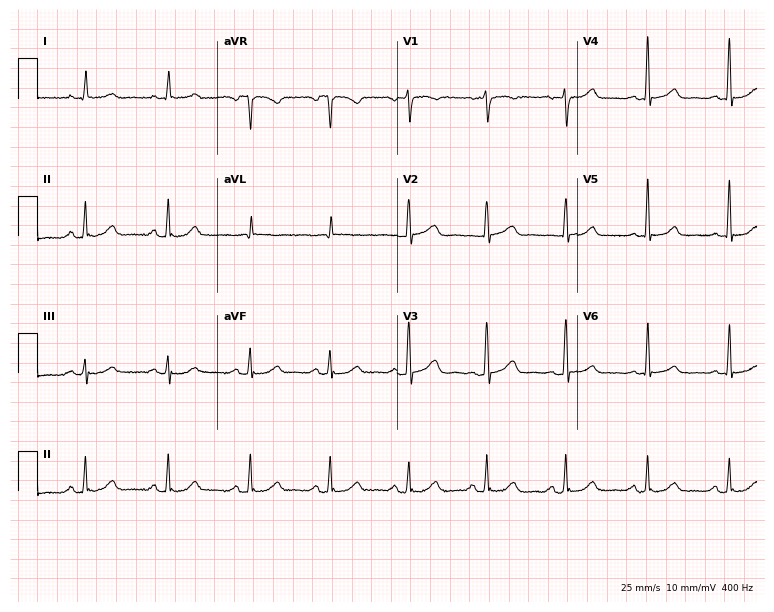
Resting 12-lead electrocardiogram (7.3-second recording at 400 Hz). Patient: a male, 62 years old. Read as a normal ECG.